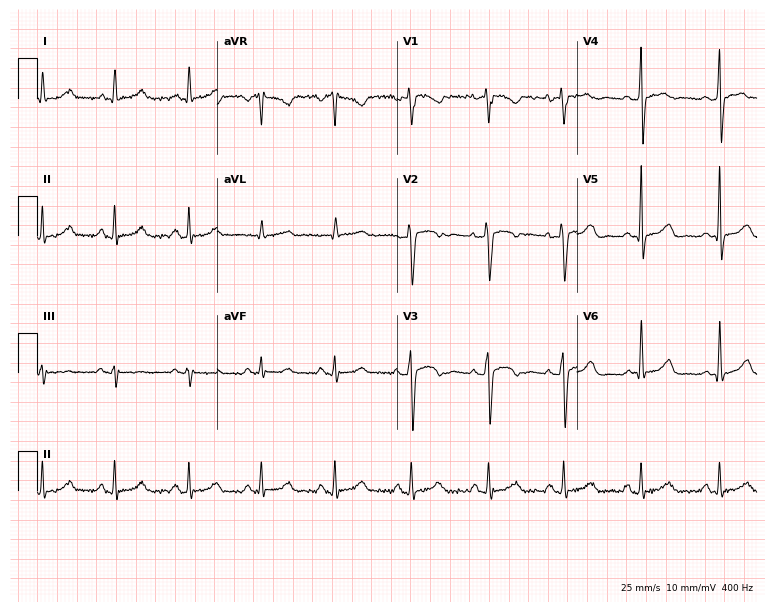
Resting 12-lead electrocardiogram. Patient: a female, 46 years old. None of these six findings is recorded: first-degree AV block, right bundle branch block, left bundle branch block, sinus bradycardia, atrial fibrillation, sinus tachycardia. Findings outside these six are not listed.